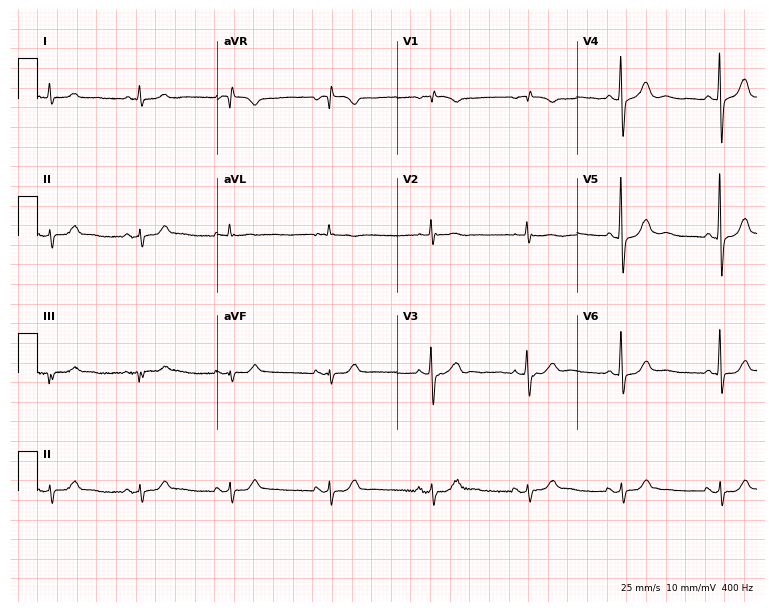
Resting 12-lead electrocardiogram (7.3-second recording at 400 Hz). Patient: a man, 72 years old. None of these six findings is recorded: first-degree AV block, right bundle branch block, left bundle branch block, sinus bradycardia, atrial fibrillation, sinus tachycardia. Only these six findings were labelled.